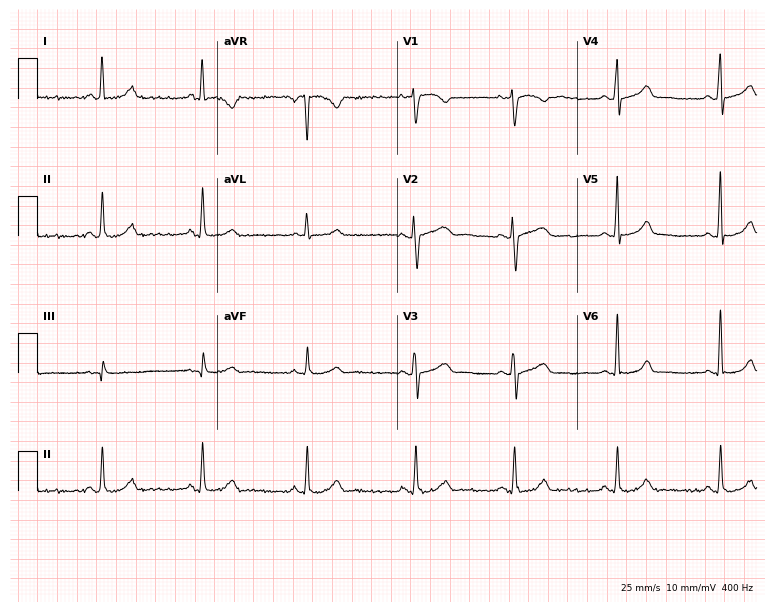
12-lead ECG (7.3-second recording at 400 Hz) from a woman, 39 years old. Screened for six findings — first-degree AV block, right bundle branch block (RBBB), left bundle branch block (LBBB), sinus bradycardia, atrial fibrillation (AF), sinus tachycardia — none is recorded. Findings outside these six are not listed.